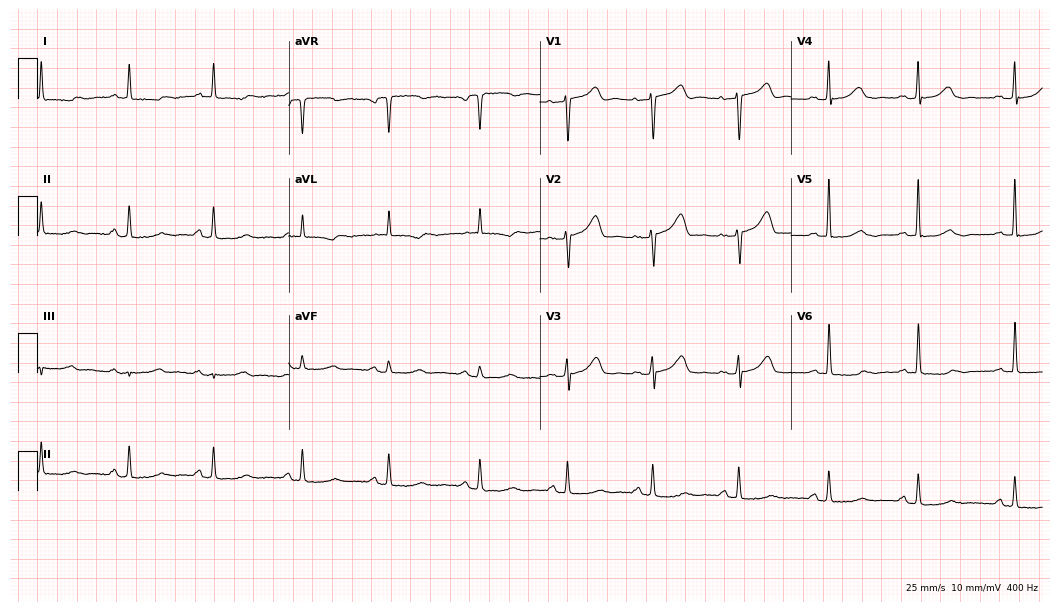
12-lead ECG (10.2-second recording at 400 Hz) from a female patient, 60 years old. Screened for six findings — first-degree AV block, right bundle branch block, left bundle branch block, sinus bradycardia, atrial fibrillation, sinus tachycardia — none is recorded.